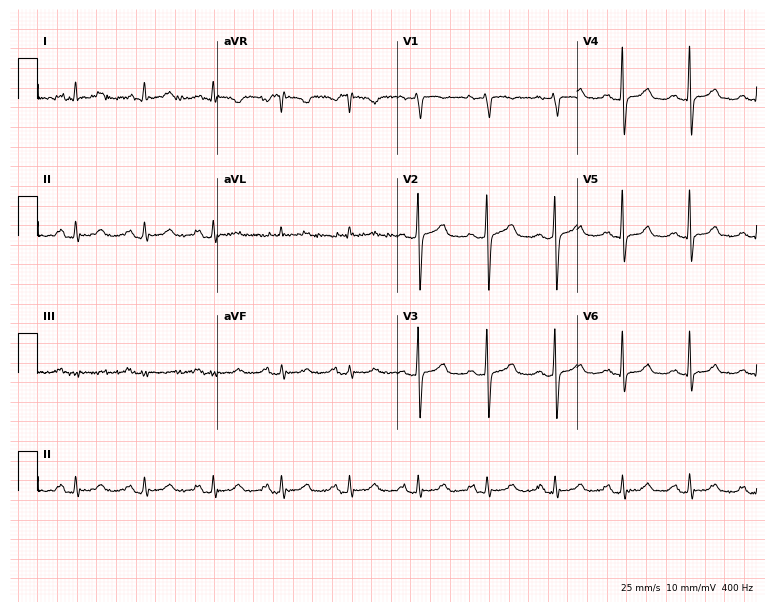
12-lead ECG (7.3-second recording at 400 Hz) from a 58-year-old woman. Screened for six findings — first-degree AV block, right bundle branch block, left bundle branch block, sinus bradycardia, atrial fibrillation, sinus tachycardia — none is recorded. Other findings, if any, are not listed.